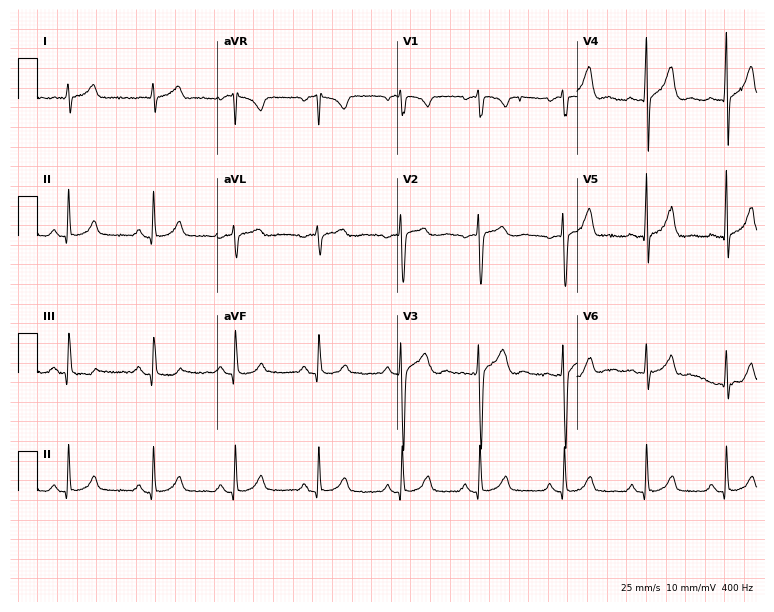
Standard 12-lead ECG recorded from a man, 21 years old. Read as a normal ECG.